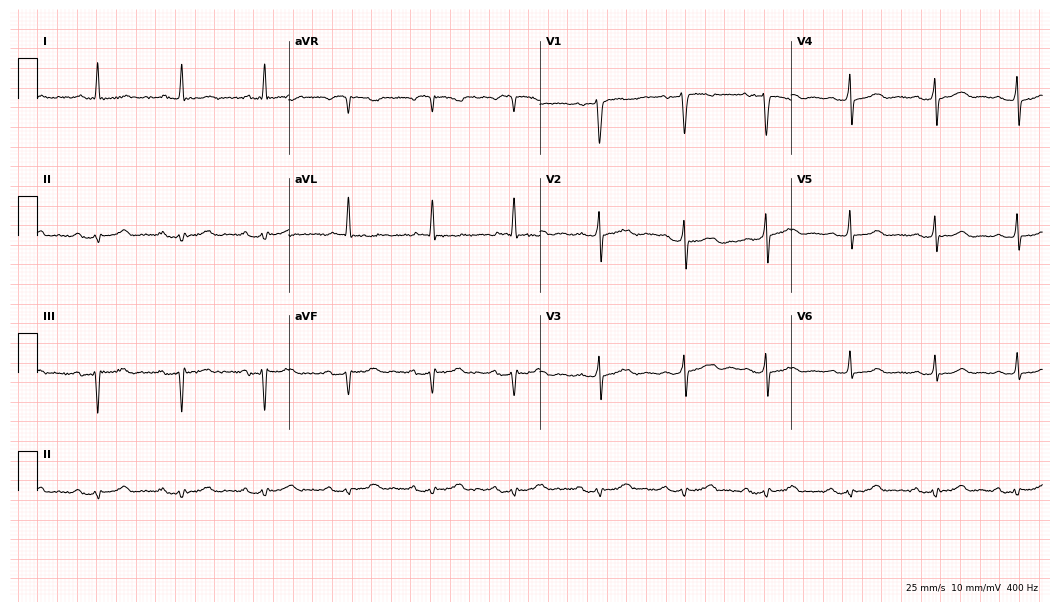
12-lead ECG from a 79-year-old female. Screened for six findings — first-degree AV block, right bundle branch block (RBBB), left bundle branch block (LBBB), sinus bradycardia, atrial fibrillation (AF), sinus tachycardia — none is recorded. Findings outside these six are not listed.